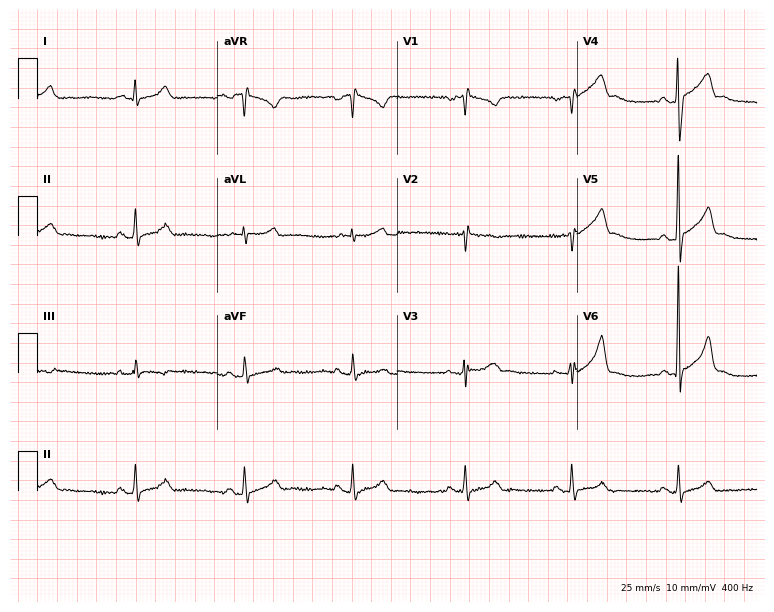
Resting 12-lead electrocardiogram. Patient: a 36-year-old male. Read as a normal ECG.